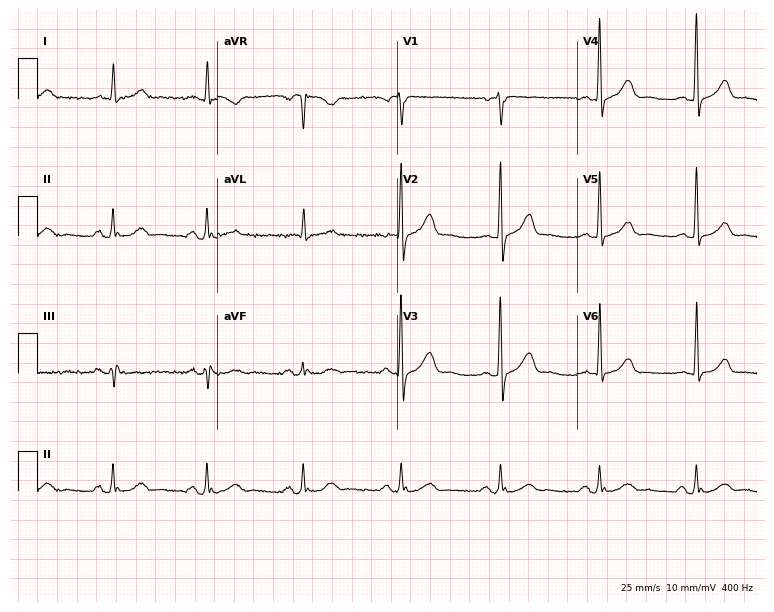
Standard 12-lead ECG recorded from a man, 65 years old. Read as a normal ECG.